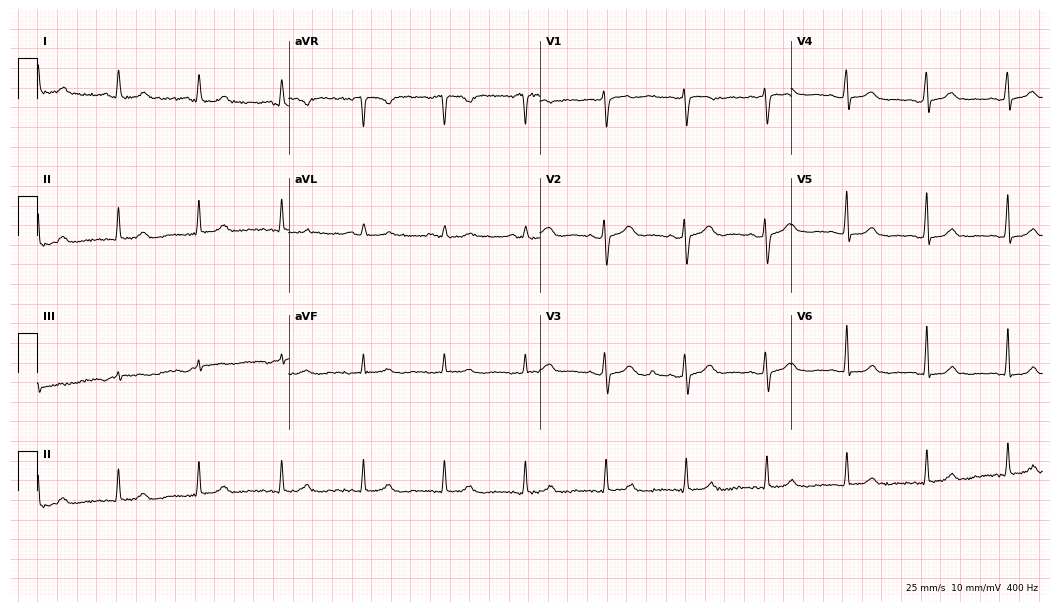
ECG (10.2-second recording at 400 Hz) — a 53-year-old female. Labelled as a normal ECG.